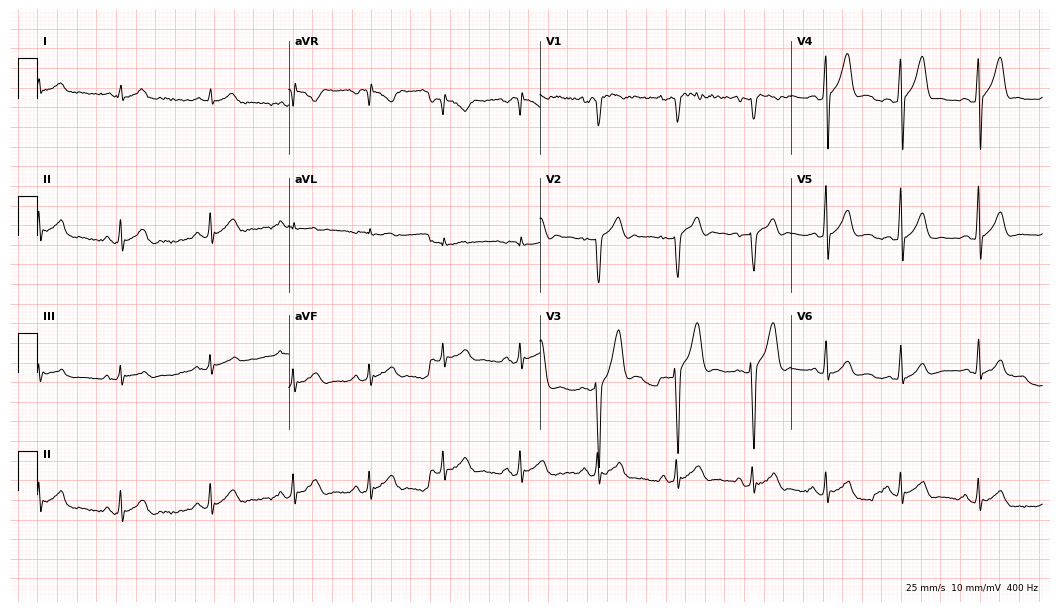
Standard 12-lead ECG recorded from a 20-year-old man. None of these six findings is recorded: first-degree AV block, right bundle branch block, left bundle branch block, sinus bradycardia, atrial fibrillation, sinus tachycardia. Only these six findings were labelled.